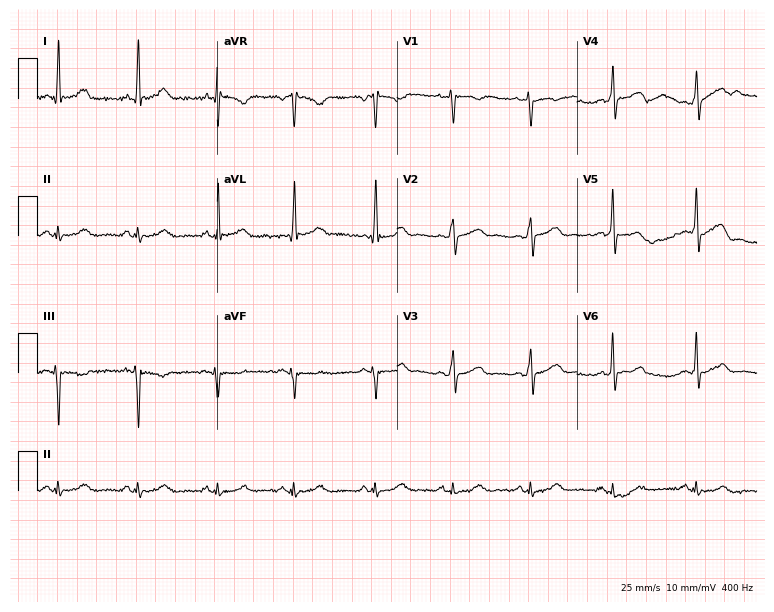
ECG (7.3-second recording at 400 Hz) — a male, 63 years old. Labelled as a normal ECG.